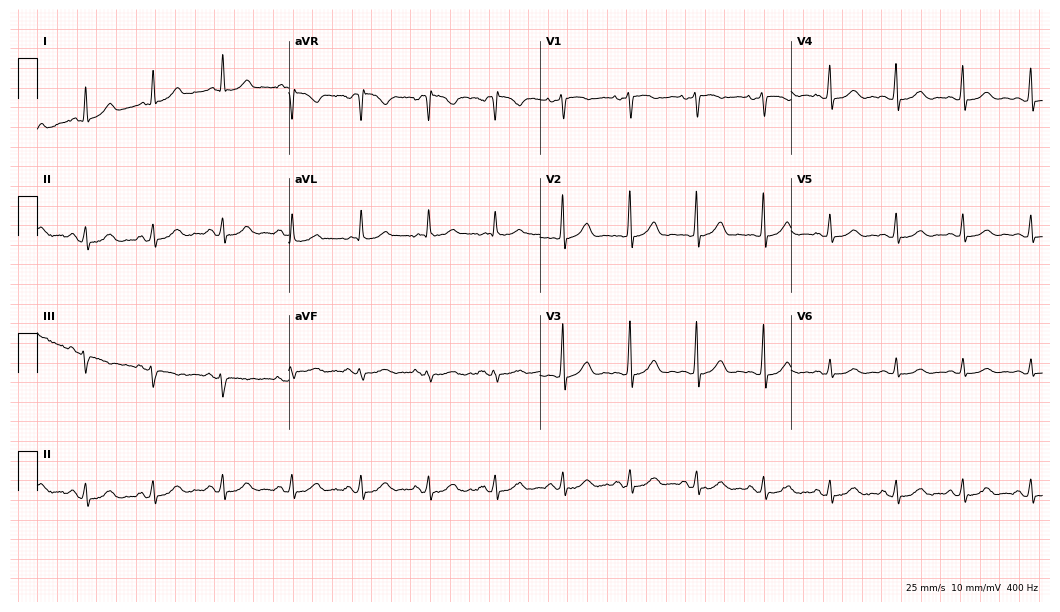
ECG — a 62-year-old woman. Labelled as a normal ECG.